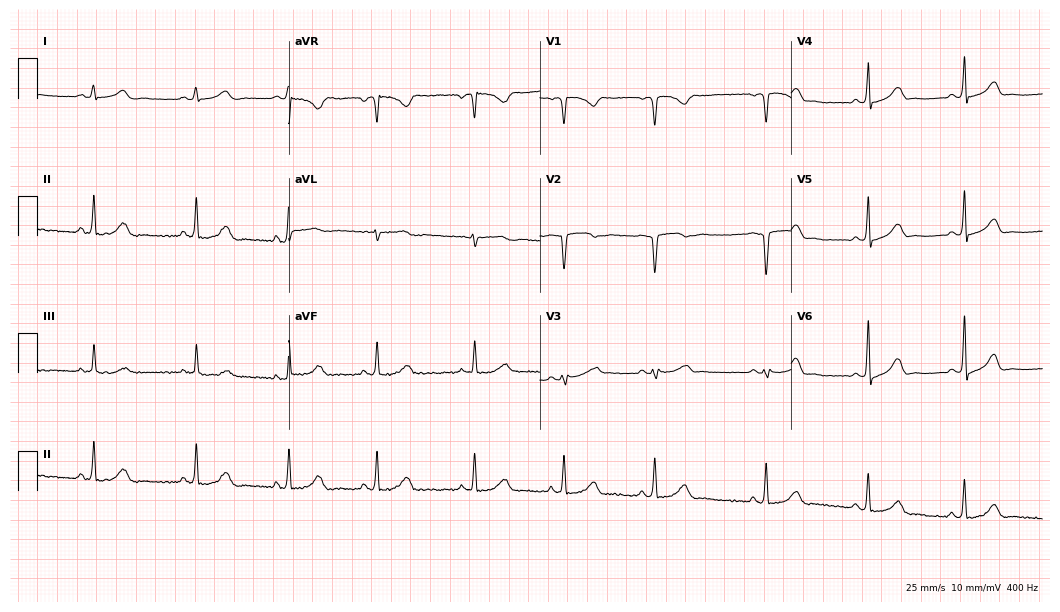
12-lead ECG from a 26-year-old woman. No first-degree AV block, right bundle branch block (RBBB), left bundle branch block (LBBB), sinus bradycardia, atrial fibrillation (AF) or sinus tachycardia recorded for this tracing. Findings outside these six are not listed.